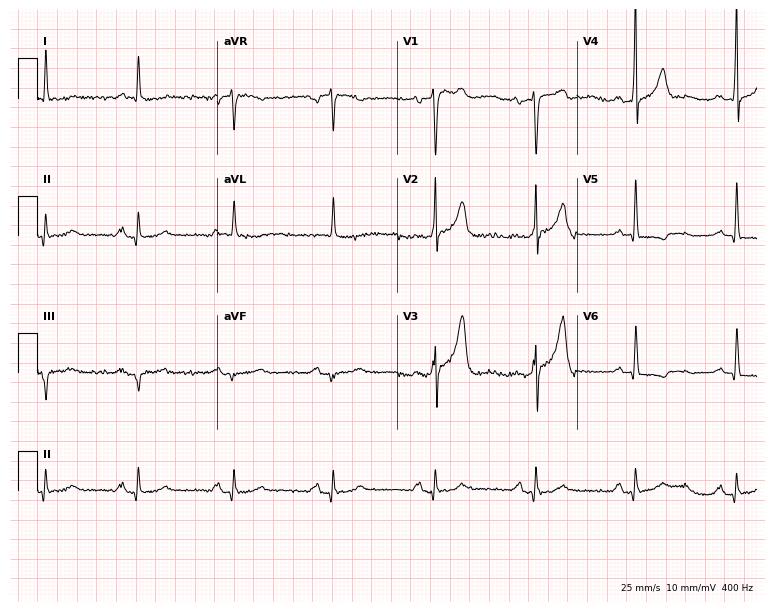
12-lead ECG from an 83-year-old man (7.3-second recording at 400 Hz). No first-degree AV block, right bundle branch block, left bundle branch block, sinus bradycardia, atrial fibrillation or sinus tachycardia recorded for this tracing. Other findings, if any, are not listed.